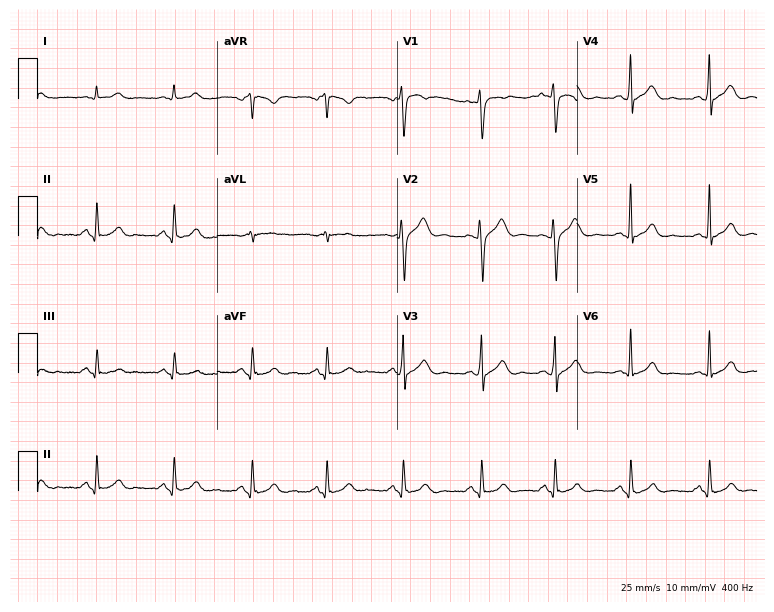
ECG (7.3-second recording at 400 Hz) — a 37-year-old male patient. Screened for six findings — first-degree AV block, right bundle branch block (RBBB), left bundle branch block (LBBB), sinus bradycardia, atrial fibrillation (AF), sinus tachycardia — none is recorded. Findings outside these six are not listed.